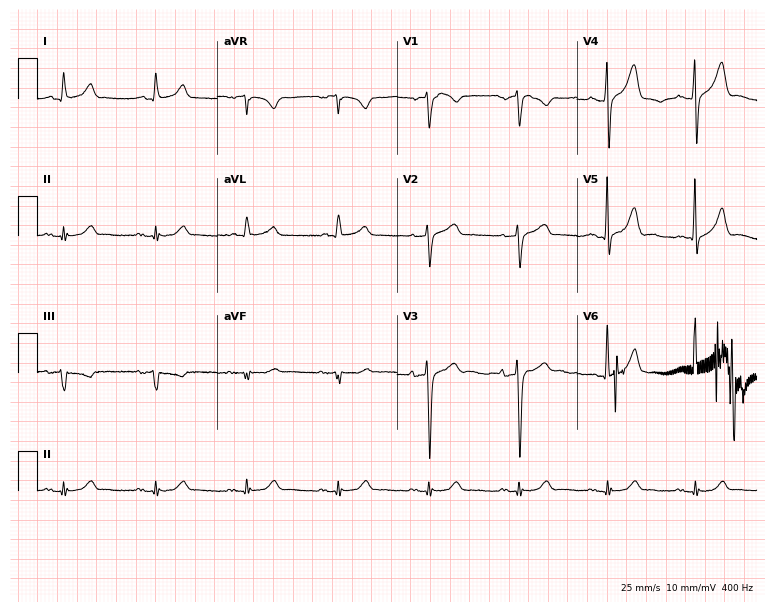
Resting 12-lead electrocardiogram (7.3-second recording at 400 Hz). Patient: a man, 78 years old. Read as a normal ECG.